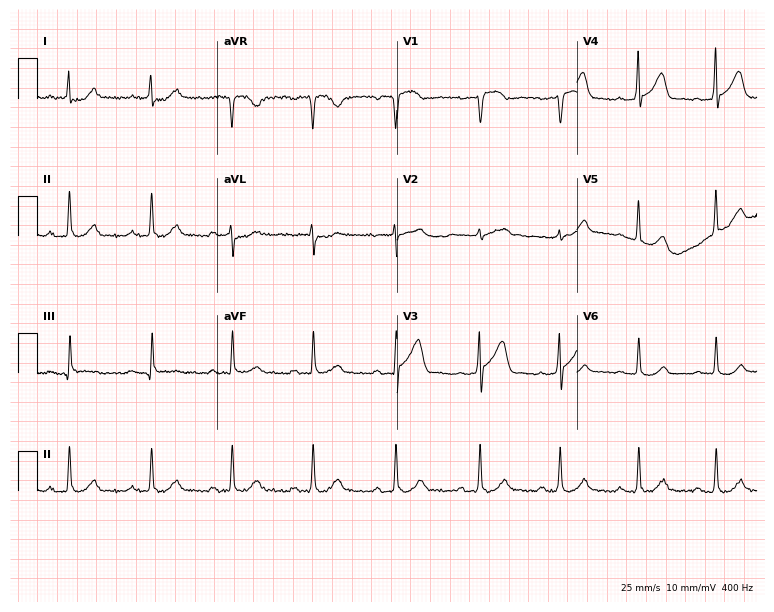
Resting 12-lead electrocardiogram. Patient: a man, 42 years old. Read as a normal ECG.